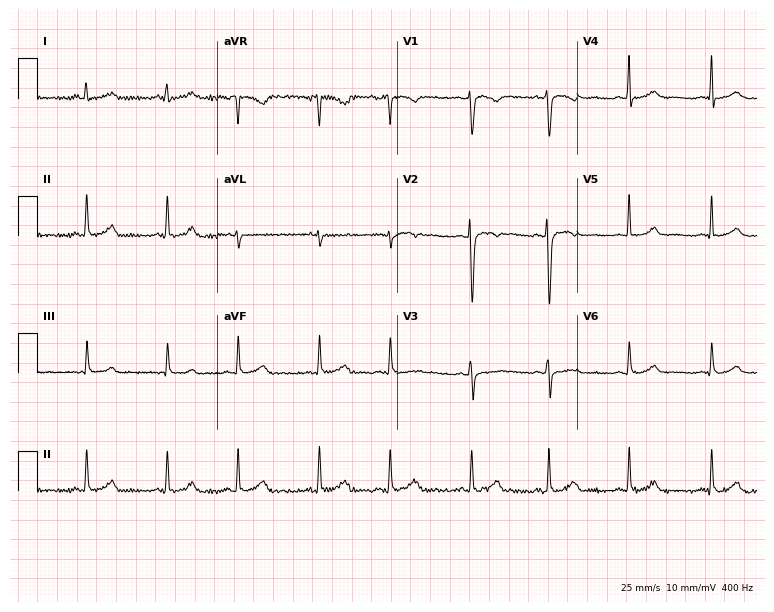
12-lead ECG from a 36-year-old female. Screened for six findings — first-degree AV block, right bundle branch block (RBBB), left bundle branch block (LBBB), sinus bradycardia, atrial fibrillation (AF), sinus tachycardia — none is recorded.